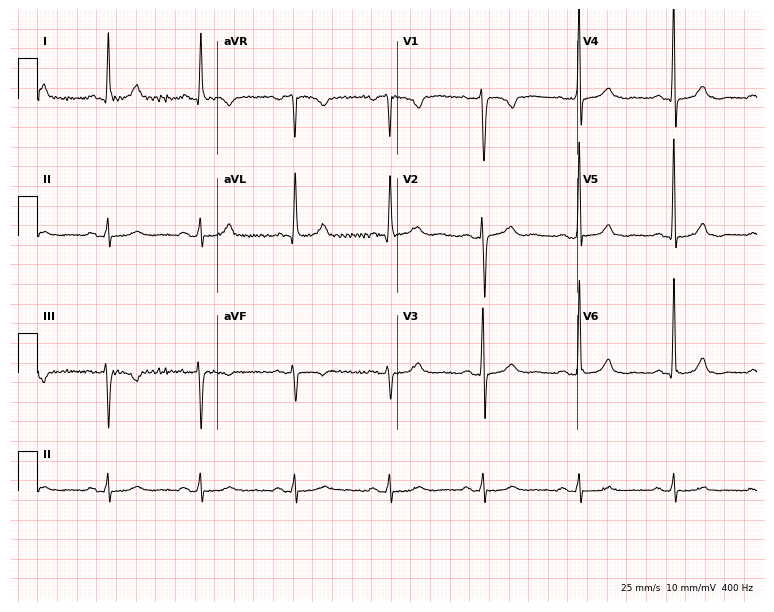
12-lead ECG (7.3-second recording at 400 Hz) from a female patient, 70 years old. Screened for six findings — first-degree AV block, right bundle branch block, left bundle branch block, sinus bradycardia, atrial fibrillation, sinus tachycardia — none is recorded.